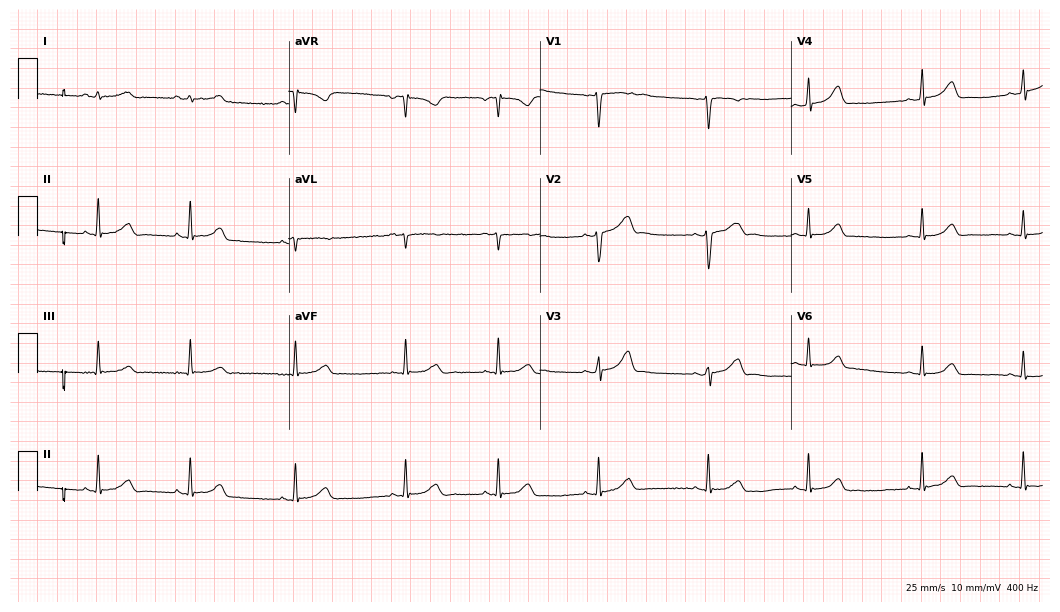
Electrocardiogram (10.2-second recording at 400 Hz), a woman, 18 years old. Overall reading on record: normal ECG.